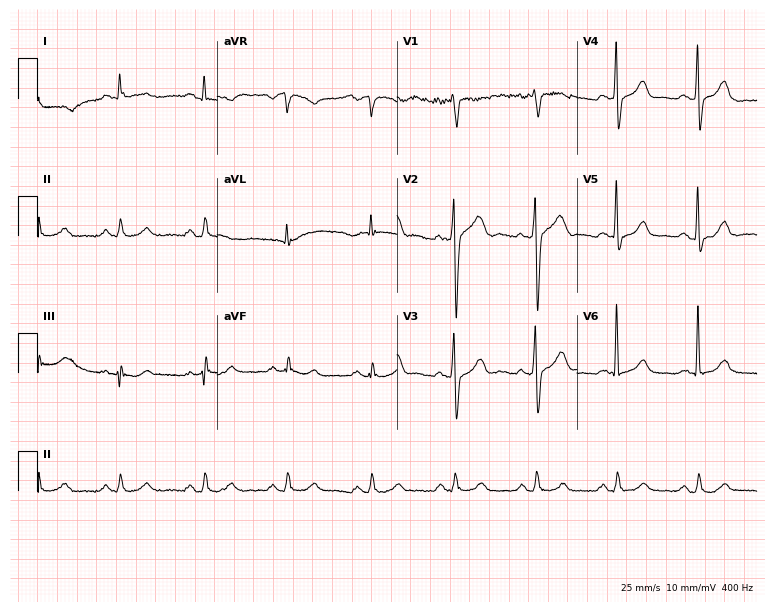
Resting 12-lead electrocardiogram. Patient: a male, 54 years old. Read as a normal ECG.